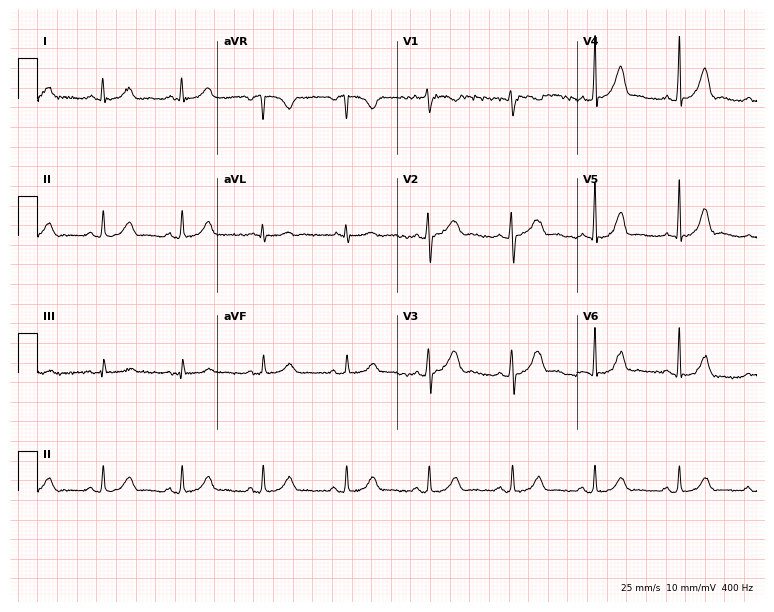
Electrocardiogram (7.3-second recording at 400 Hz), a female, 19 years old. Overall reading on record: normal ECG.